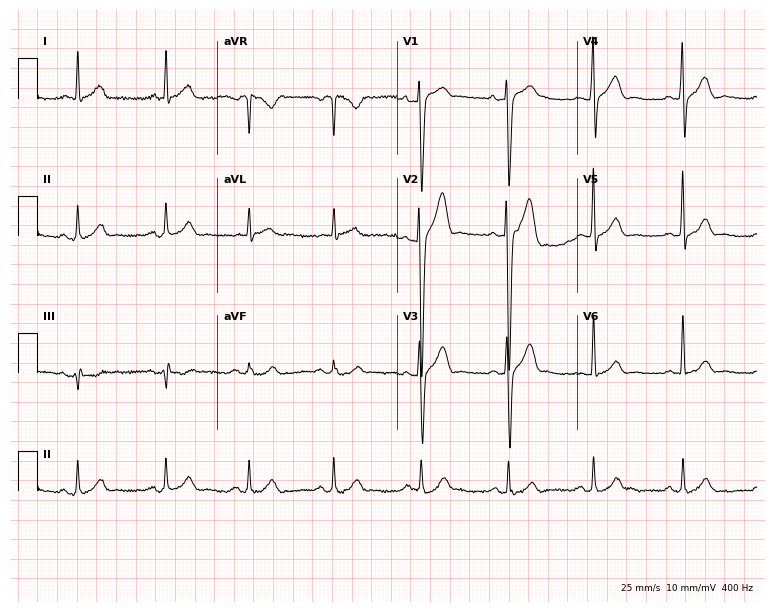
ECG — a 24-year-old male patient. Labelled as a normal ECG.